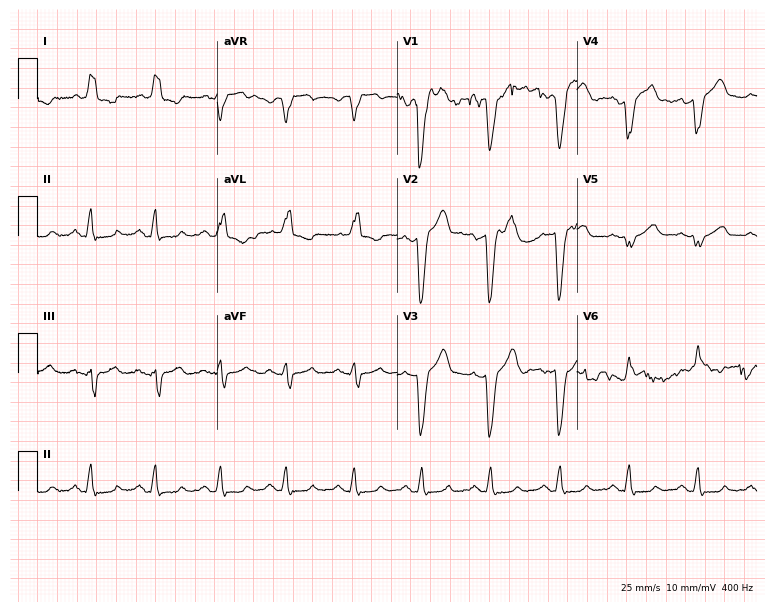
Standard 12-lead ECG recorded from a 71-year-old man (7.3-second recording at 400 Hz). The tracing shows left bundle branch block.